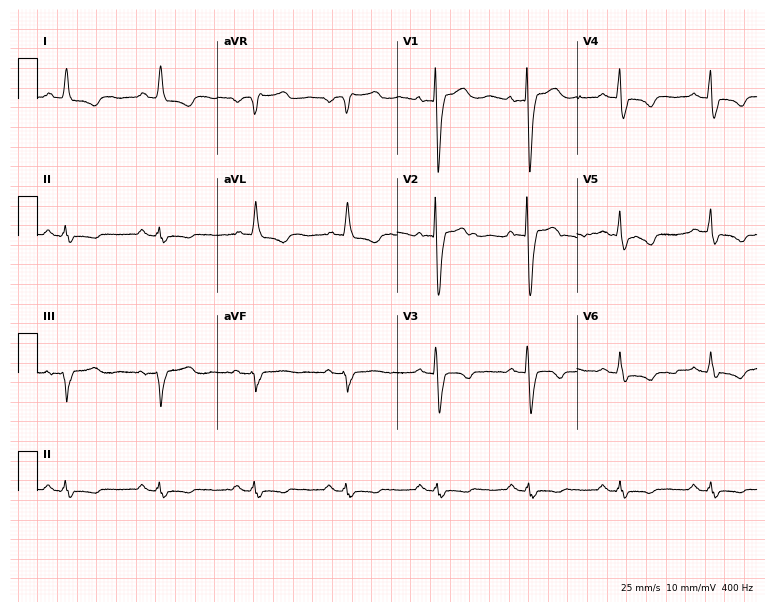
ECG (7.3-second recording at 400 Hz) — an 83-year-old woman. Findings include left bundle branch block.